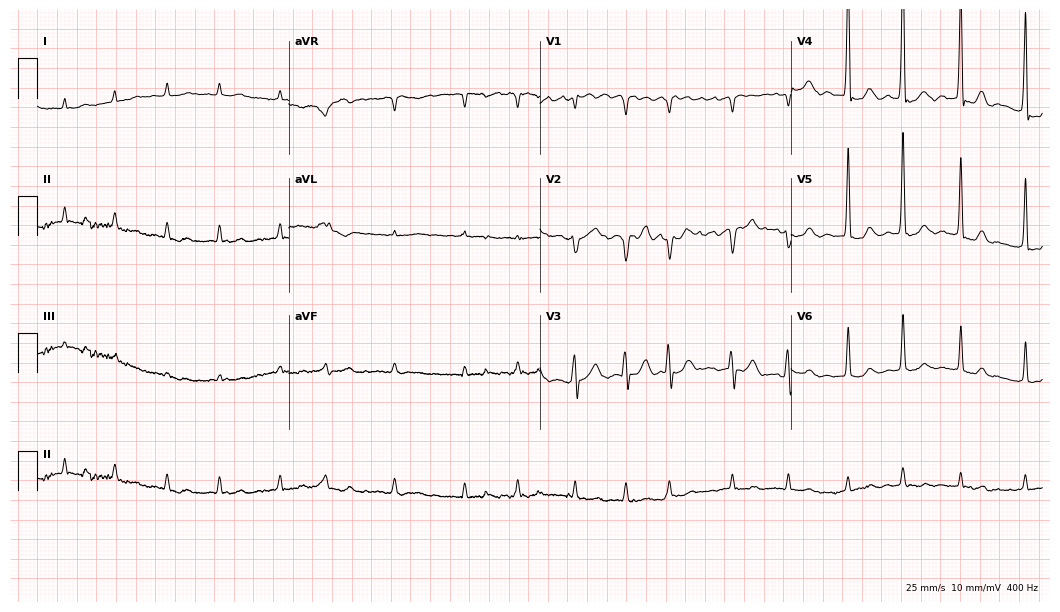
ECG (10.2-second recording at 400 Hz) — a male patient, 81 years old. Screened for six findings — first-degree AV block, right bundle branch block (RBBB), left bundle branch block (LBBB), sinus bradycardia, atrial fibrillation (AF), sinus tachycardia — none is recorded.